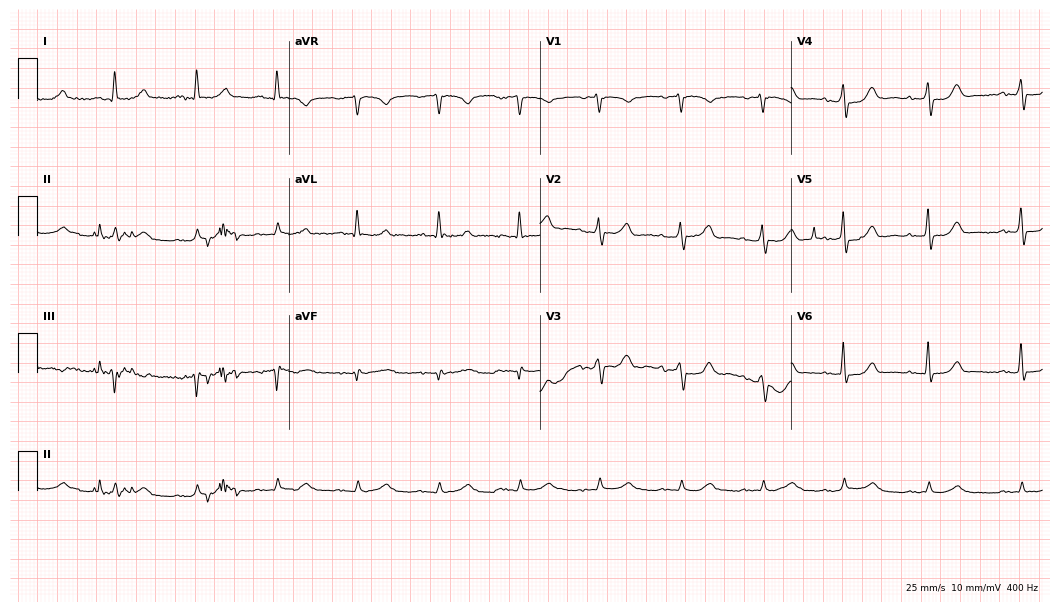
12-lead ECG from a 68-year-old man (10.2-second recording at 400 Hz). Recorded interpretation: within normal limits.